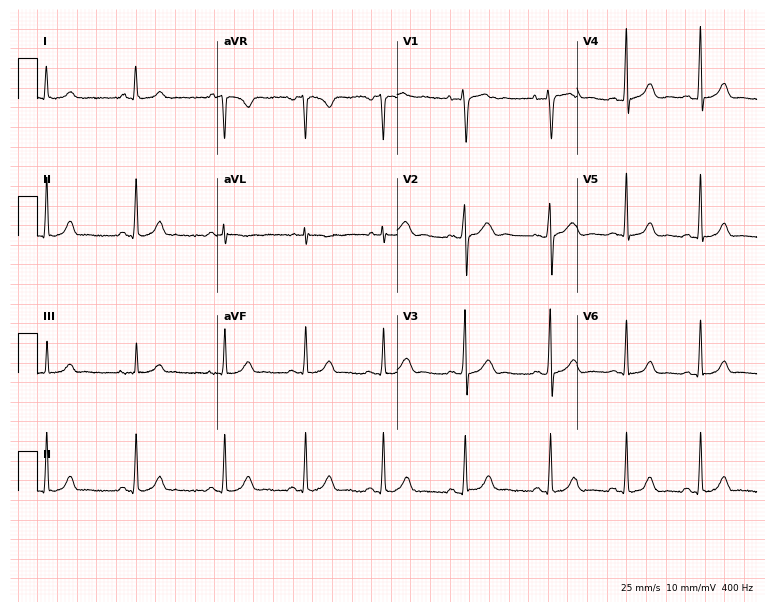
Standard 12-lead ECG recorded from a 21-year-old female patient (7.3-second recording at 400 Hz). None of these six findings is recorded: first-degree AV block, right bundle branch block (RBBB), left bundle branch block (LBBB), sinus bradycardia, atrial fibrillation (AF), sinus tachycardia.